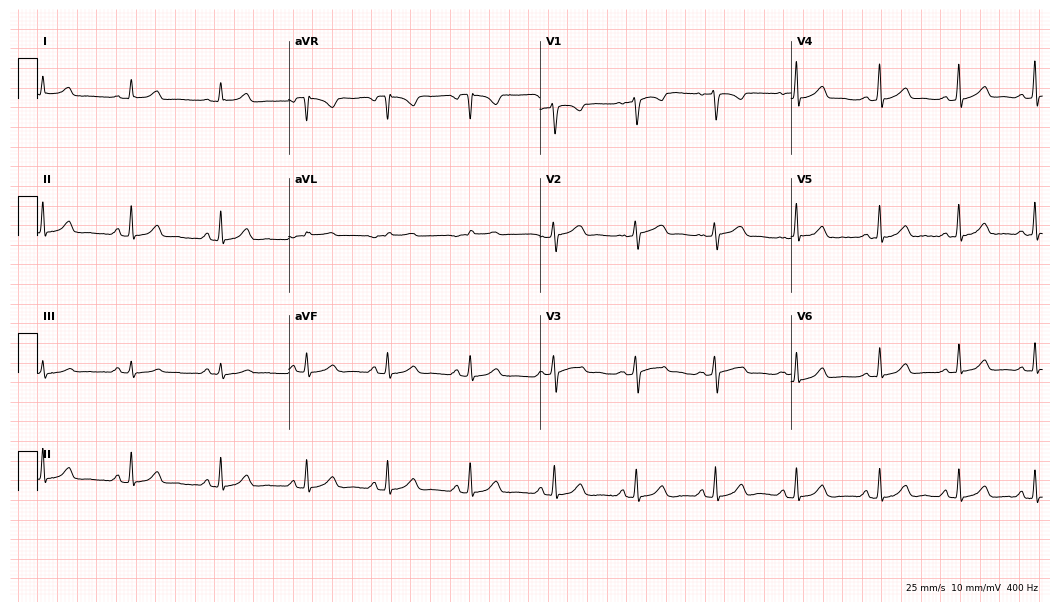
Electrocardiogram (10.2-second recording at 400 Hz), a female patient, 34 years old. Overall reading on record: normal ECG.